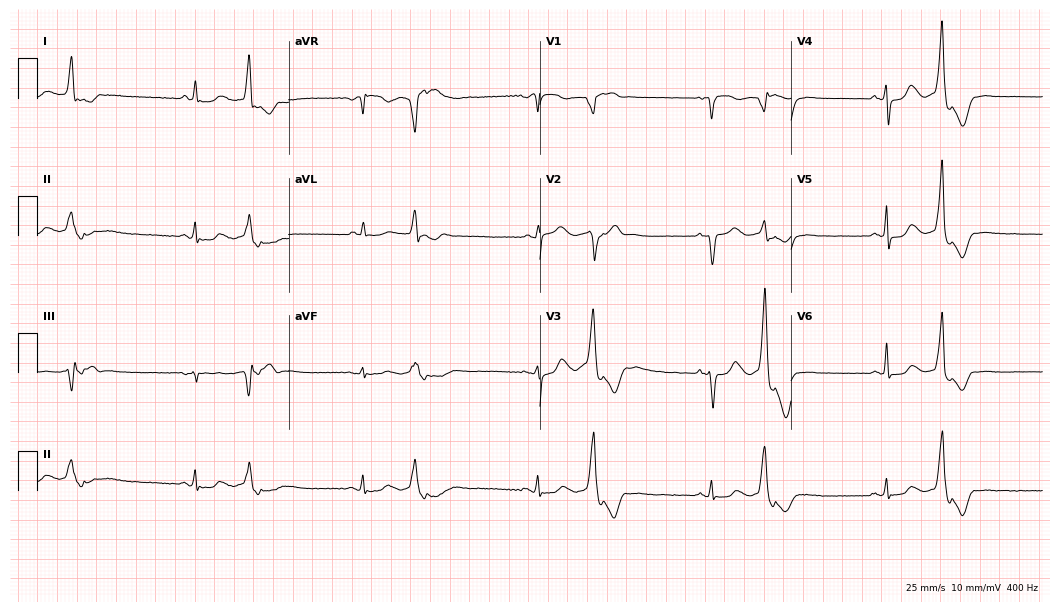
ECG (10.2-second recording at 400 Hz) — a 64-year-old female patient. Screened for six findings — first-degree AV block, right bundle branch block, left bundle branch block, sinus bradycardia, atrial fibrillation, sinus tachycardia — none is recorded.